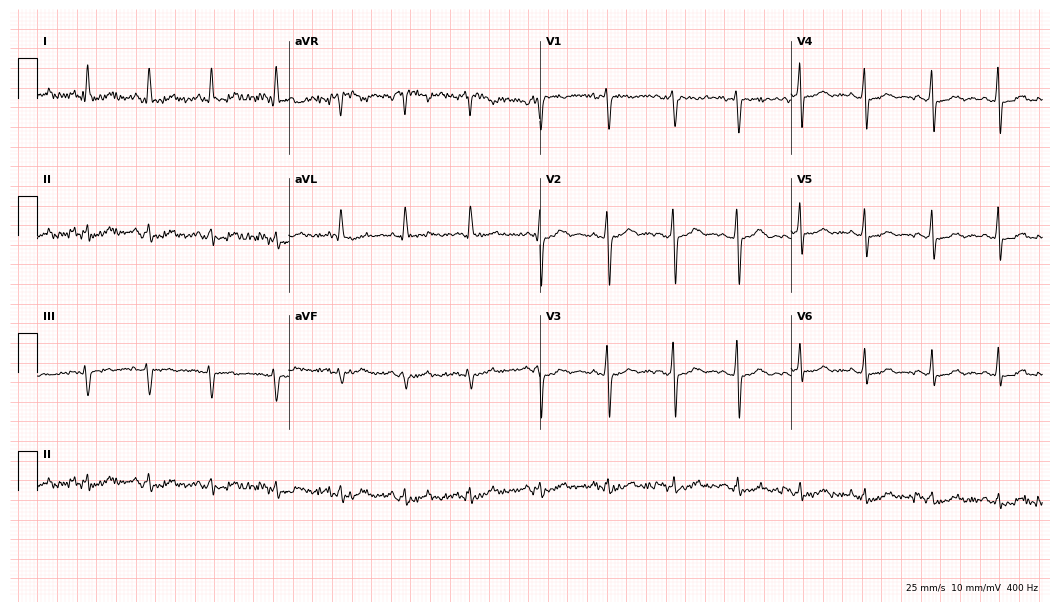
ECG (10.2-second recording at 400 Hz) — a 41-year-old female patient. Labelled as a normal ECG.